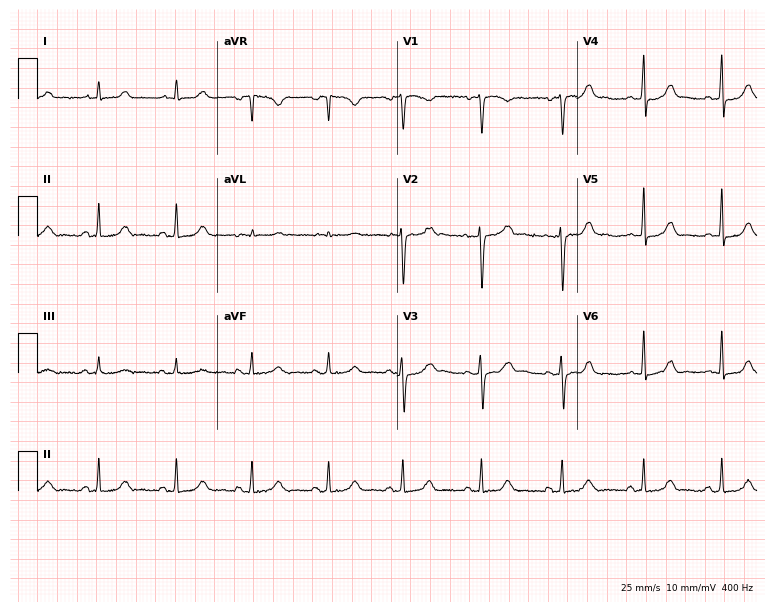
12-lead ECG (7.3-second recording at 400 Hz) from a female, 40 years old. Screened for six findings — first-degree AV block, right bundle branch block, left bundle branch block, sinus bradycardia, atrial fibrillation, sinus tachycardia — none is recorded.